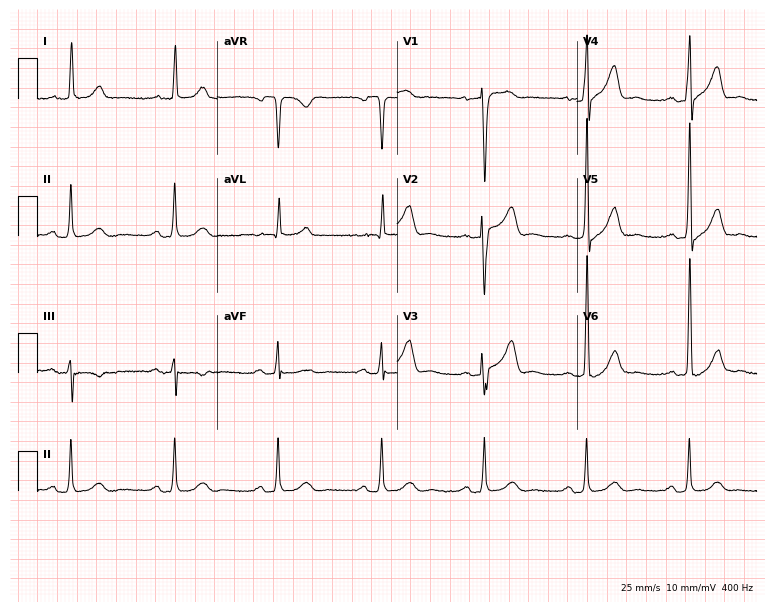
ECG (7.3-second recording at 400 Hz) — a male patient, 73 years old. Screened for six findings — first-degree AV block, right bundle branch block, left bundle branch block, sinus bradycardia, atrial fibrillation, sinus tachycardia — none is recorded. Other findings, if any, are not listed.